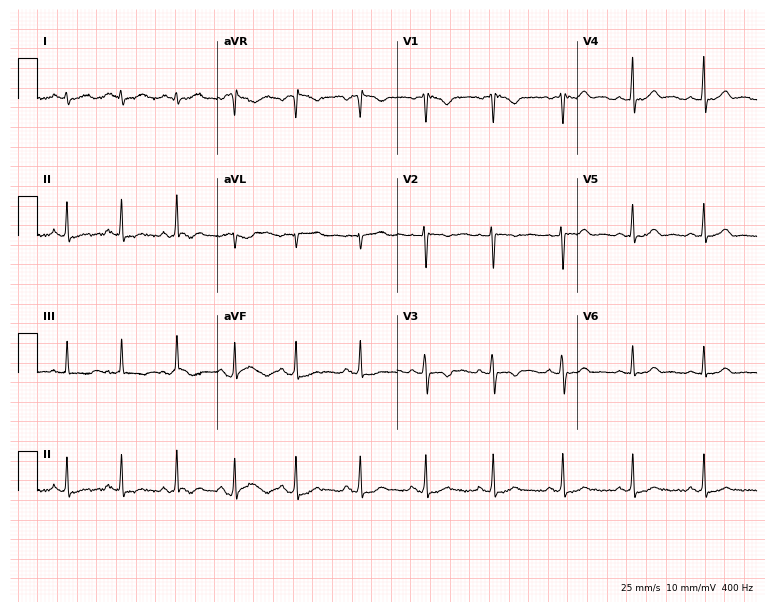
12-lead ECG from a 19-year-old woman. Labelled as a normal ECG.